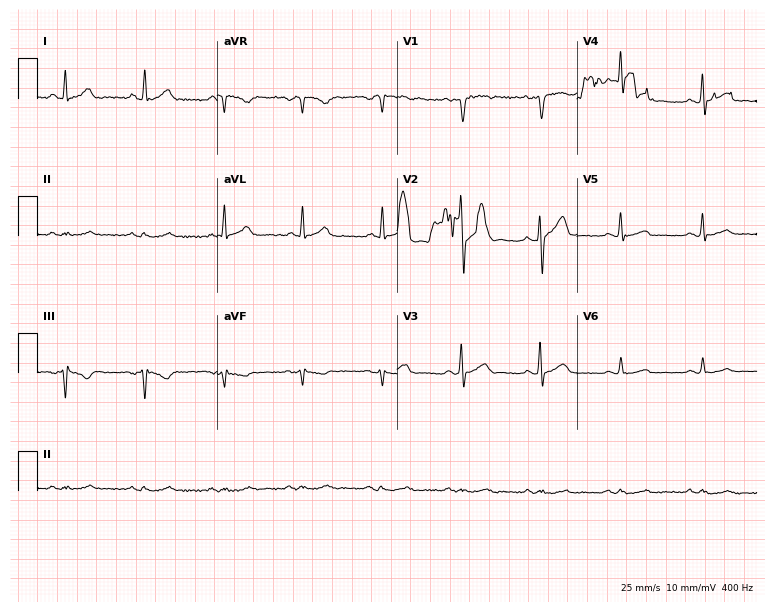
12-lead ECG (7.3-second recording at 400 Hz) from a 40-year-old man. Screened for six findings — first-degree AV block, right bundle branch block, left bundle branch block, sinus bradycardia, atrial fibrillation, sinus tachycardia — none is recorded. Only these six findings were labelled.